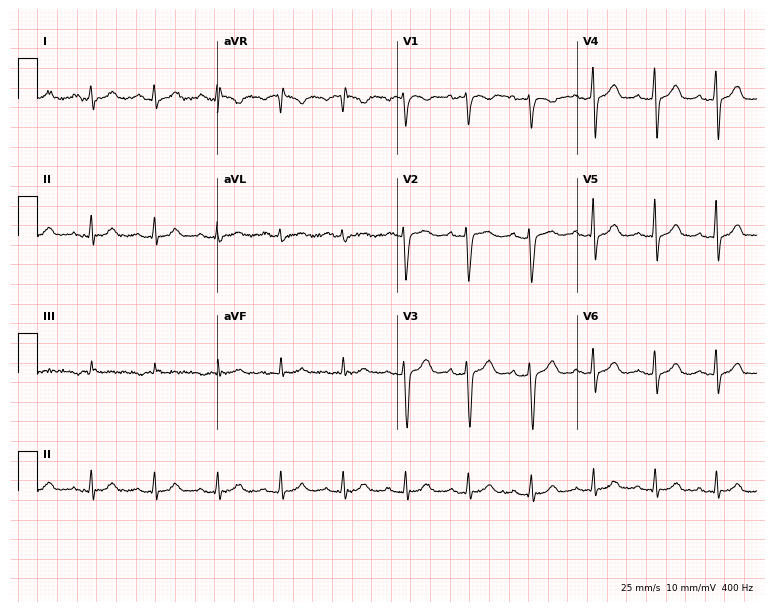
12-lead ECG from a female patient, 39 years old (7.3-second recording at 400 Hz). Recorded interpretation: within normal limits.